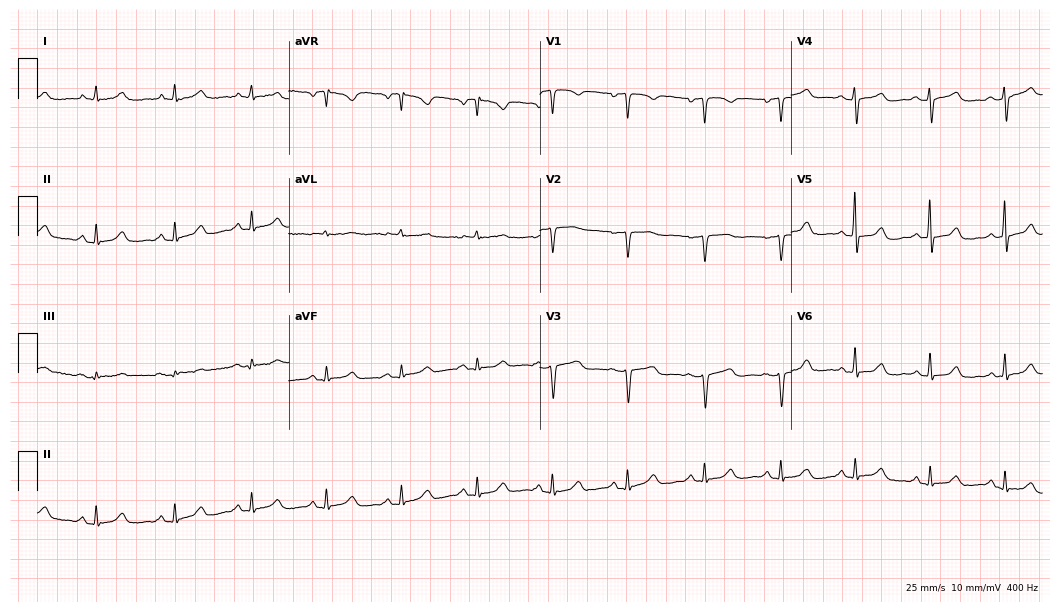
Standard 12-lead ECG recorded from a 56-year-old woman (10.2-second recording at 400 Hz). None of these six findings is recorded: first-degree AV block, right bundle branch block, left bundle branch block, sinus bradycardia, atrial fibrillation, sinus tachycardia.